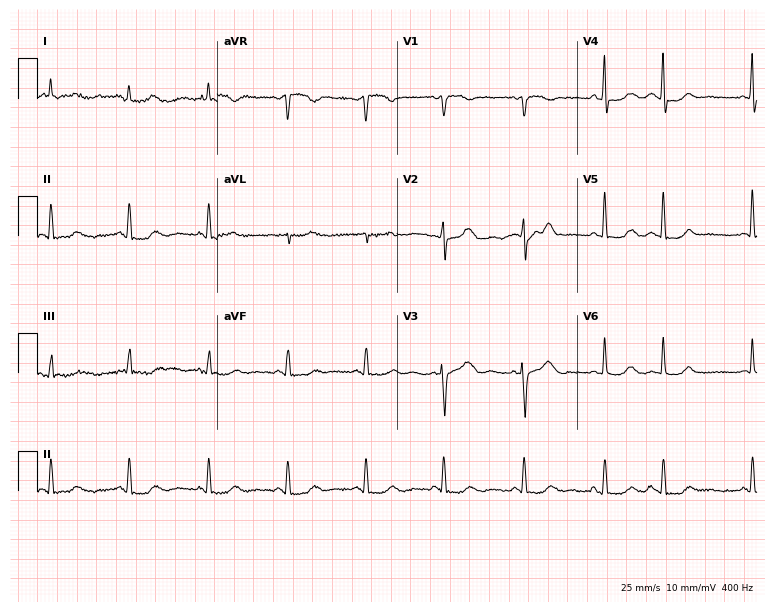
12-lead ECG from a woman, 78 years old. Labelled as a normal ECG.